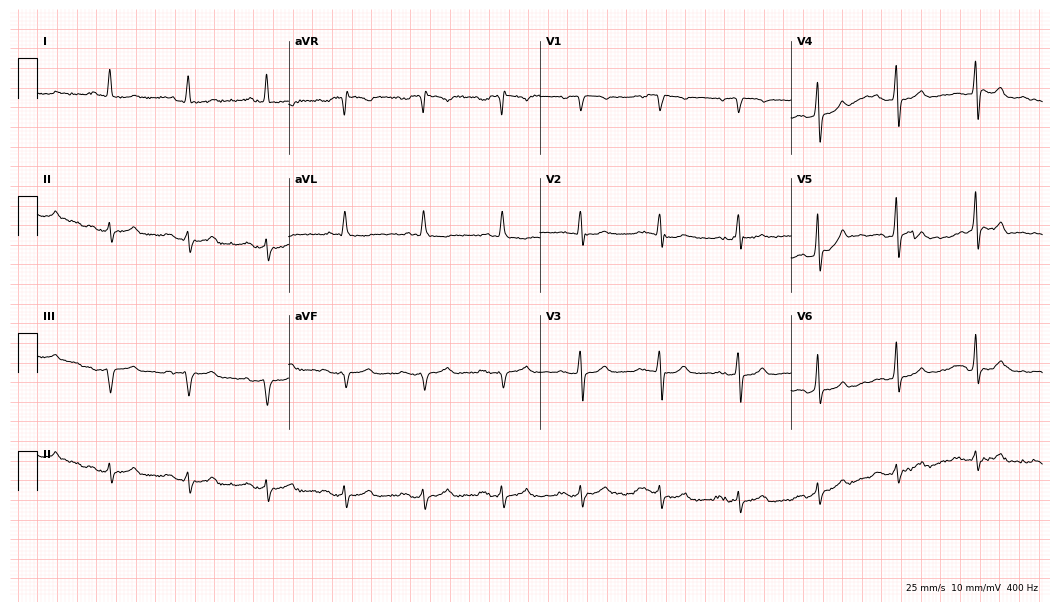
Standard 12-lead ECG recorded from a male patient, 81 years old. None of these six findings is recorded: first-degree AV block, right bundle branch block (RBBB), left bundle branch block (LBBB), sinus bradycardia, atrial fibrillation (AF), sinus tachycardia. Only these six findings were labelled.